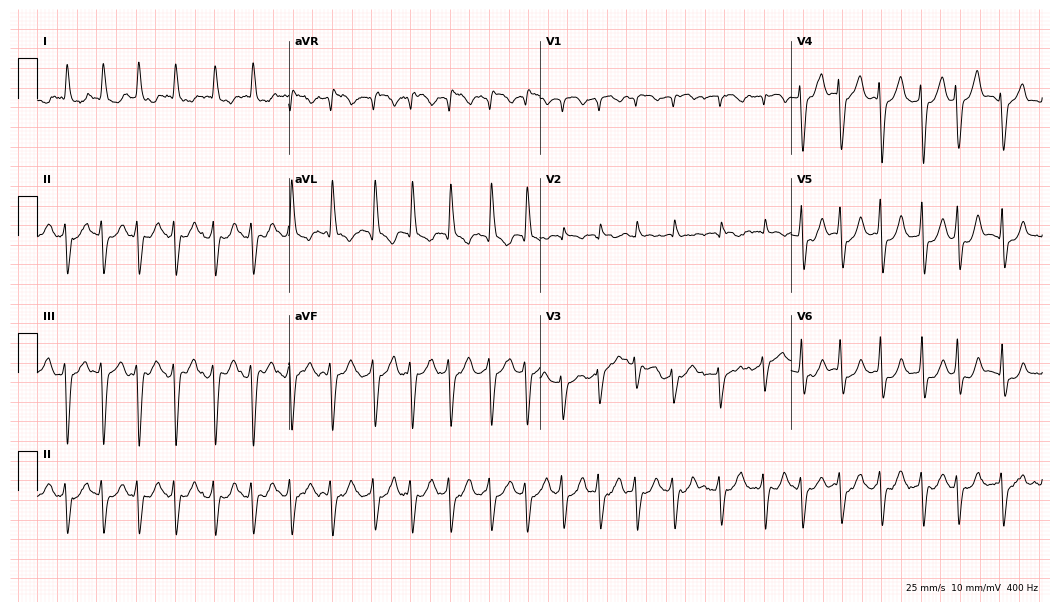
Standard 12-lead ECG recorded from a female, 81 years old. The tracing shows atrial fibrillation (AF).